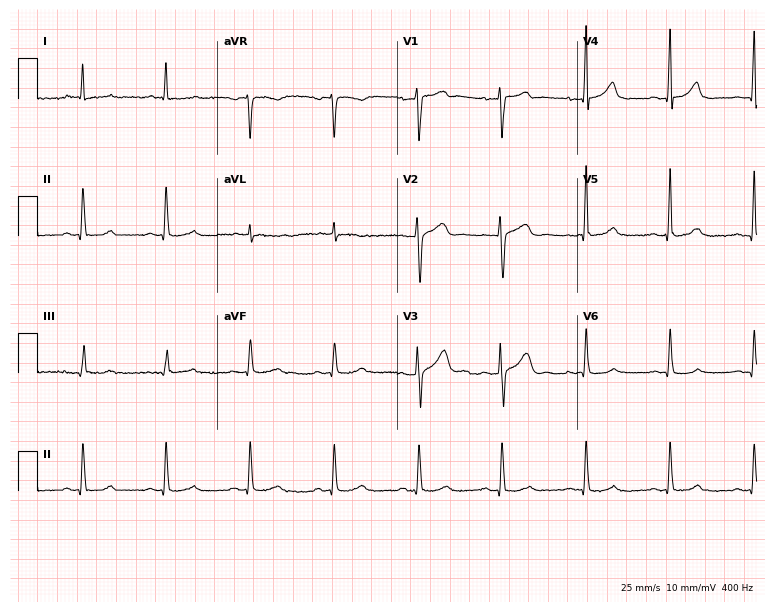
Standard 12-lead ECG recorded from a male, 54 years old. None of these six findings is recorded: first-degree AV block, right bundle branch block, left bundle branch block, sinus bradycardia, atrial fibrillation, sinus tachycardia.